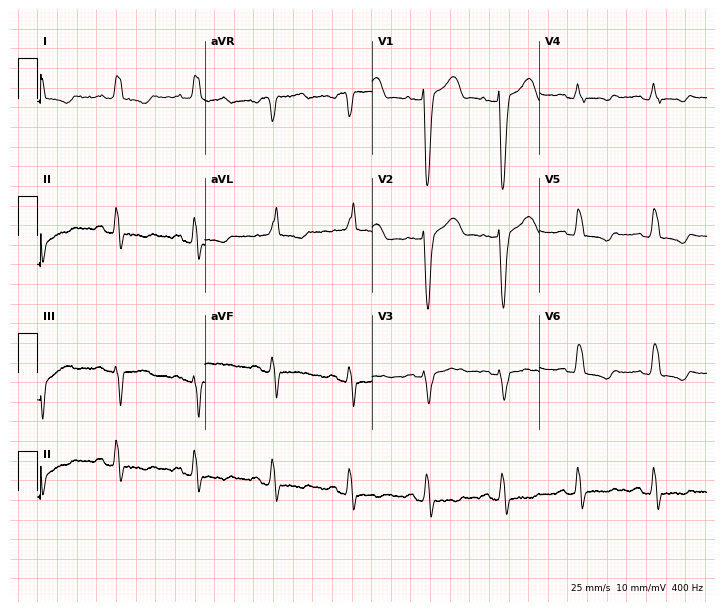
Resting 12-lead electrocardiogram (6.8-second recording at 400 Hz). Patient: an 85-year-old woman. None of these six findings is recorded: first-degree AV block, right bundle branch block, left bundle branch block, sinus bradycardia, atrial fibrillation, sinus tachycardia. Findings outside these six are not listed.